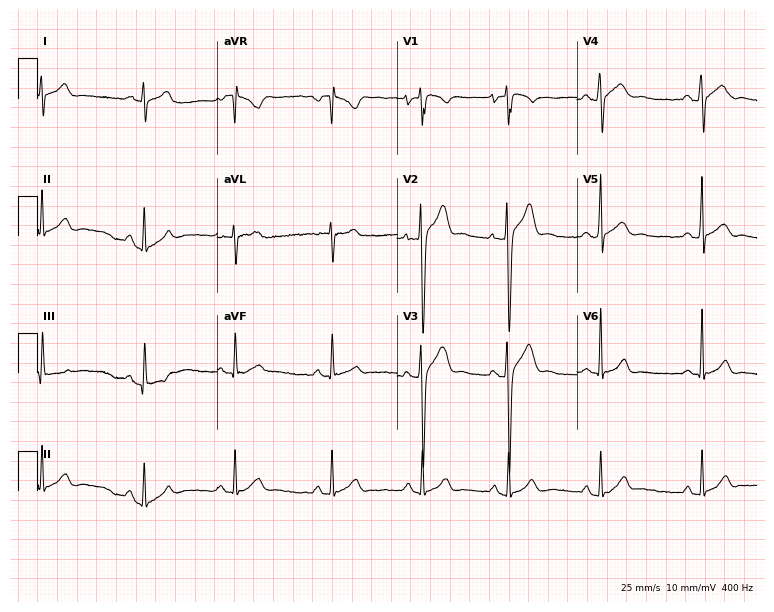
ECG — a male, 19 years old. Labelled as a normal ECG.